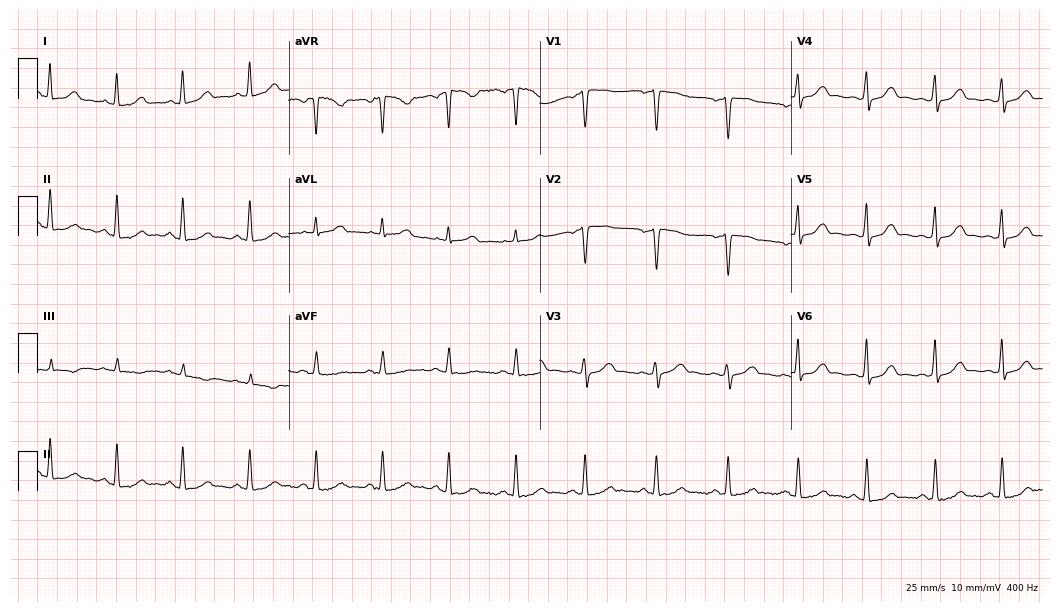
12-lead ECG from a female patient, 41 years old (10.2-second recording at 400 Hz). Recorded interpretation: within normal limits.